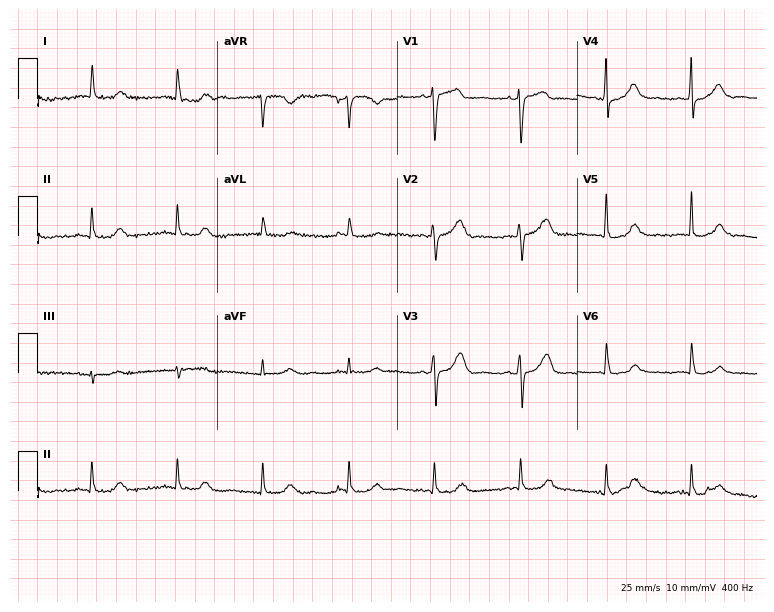
12-lead ECG from a female, 72 years old. Labelled as a normal ECG.